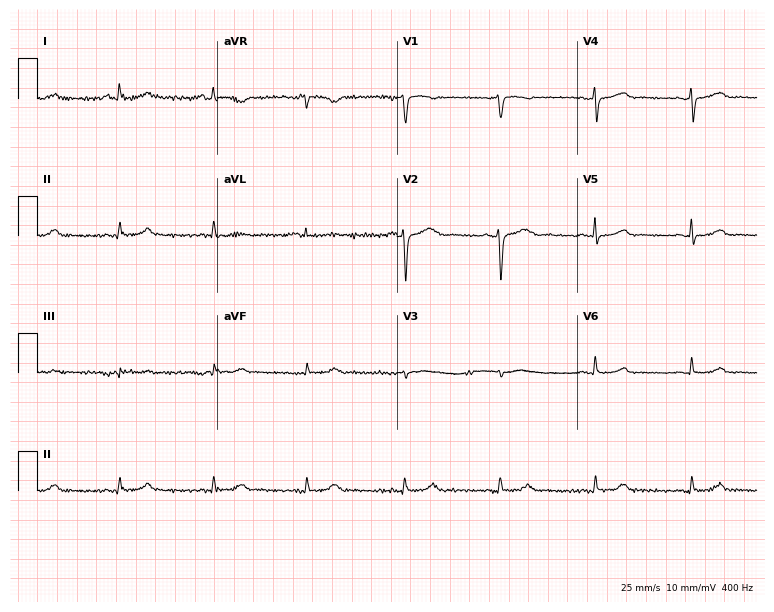
ECG — a female patient, 53 years old. Screened for six findings — first-degree AV block, right bundle branch block (RBBB), left bundle branch block (LBBB), sinus bradycardia, atrial fibrillation (AF), sinus tachycardia — none is recorded.